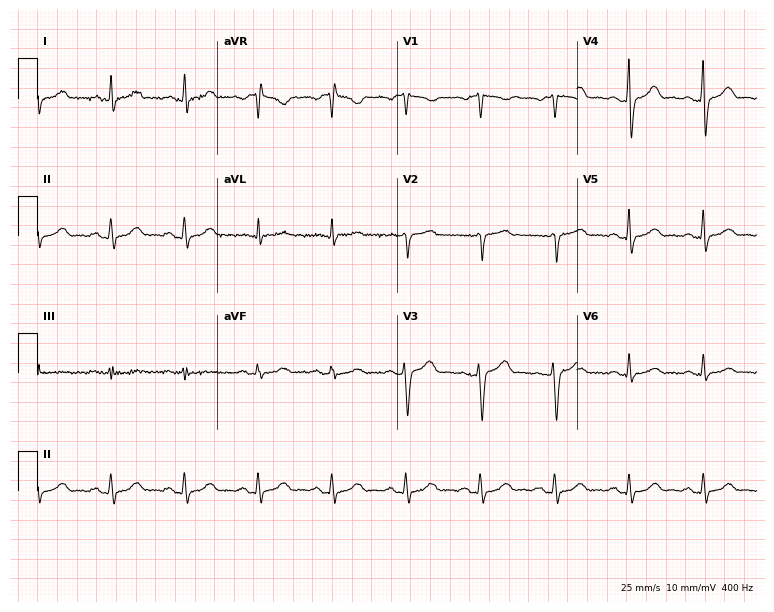
Resting 12-lead electrocardiogram. Patient: a male, 61 years old. None of these six findings is recorded: first-degree AV block, right bundle branch block, left bundle branch block, sinus bradycardia, atrial fibrillation, sinus tachycardia. Only these six findings were labelled.